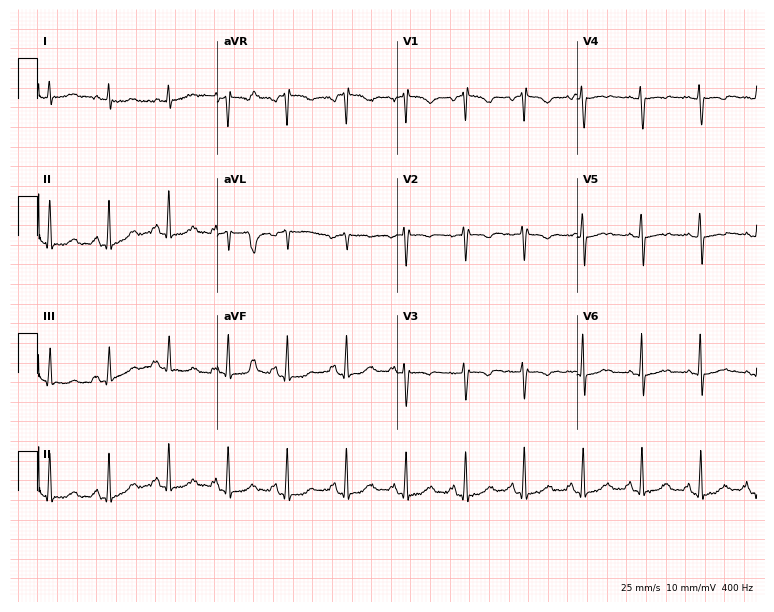
12-lead ECG from a female, 76 years old. No first-degree AV block, right bundle branch block, left bundle branch block, sinus bradycardia, atrial fibrillation or sinus tachycardia recorded for this tracing.